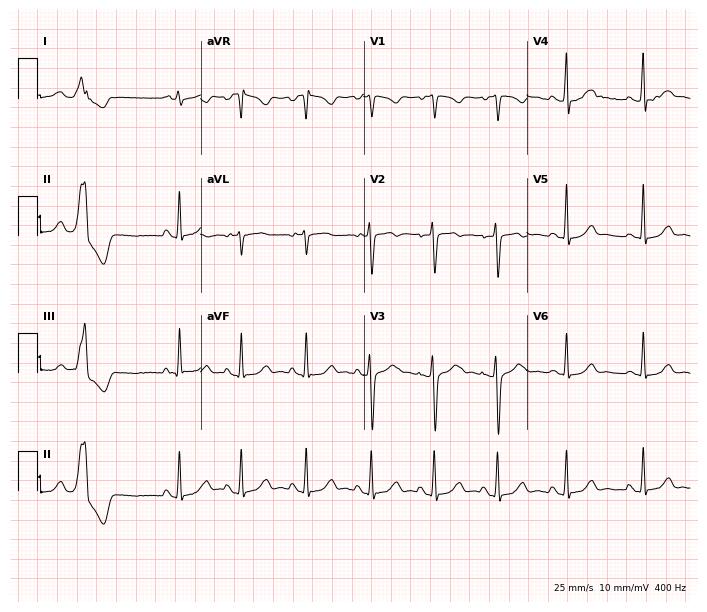
12-lead ECG from a female patient, 21 years old (6.7-second recording at 400 Hz). No first-degree AV block, right bundle branch block (RBBB), left bundle branch block (LBBB), sinus bradycardia, atrial fibrillation (AF) or sinus tachycardia recorded for this tracing. Other findings, if any, are not listed.